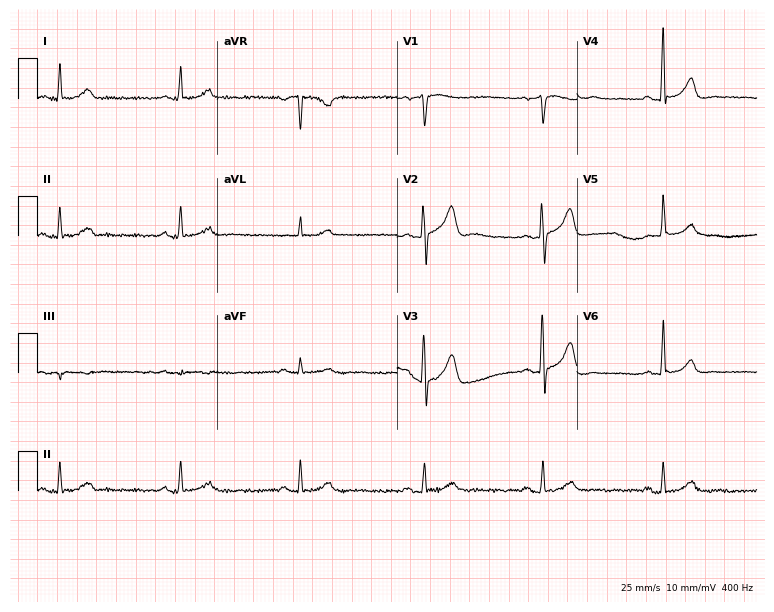
Resting 12-lead electrocardiogram. Patient: a male, 61 years old. The tracing shows sinus bradycardia (a sinus rate of 50 beats per minute or less).